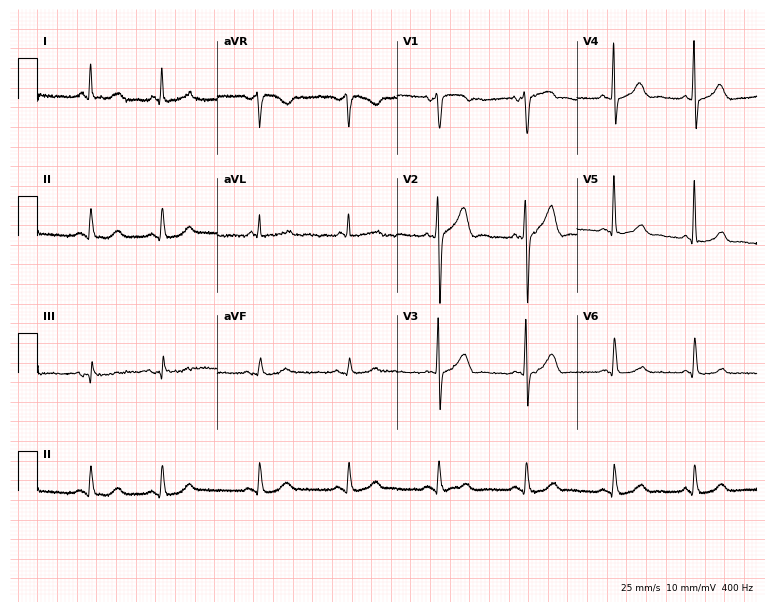
12-lead ECG from a male patient, 71 years old. Labelled as a normal ECG.